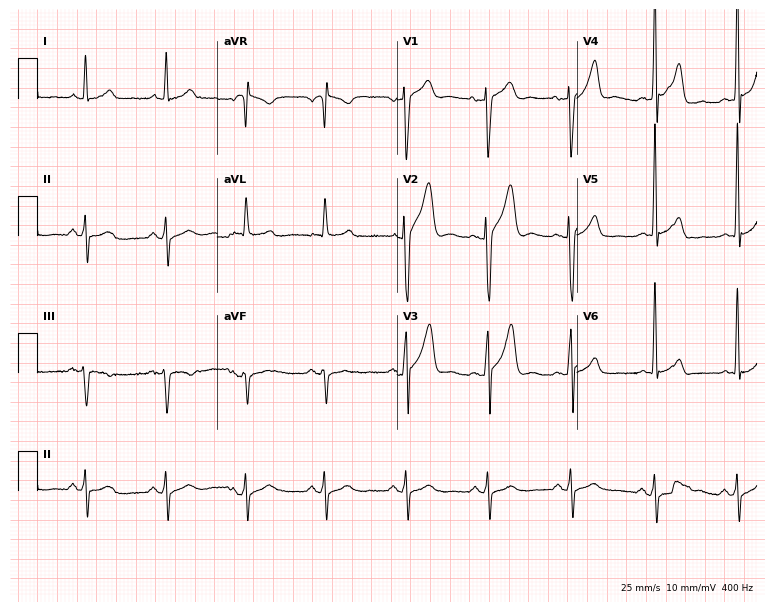
Standard 12-lead ECG recorded from a male patient, 68 years old (7.3-second recording at 400 Hz). Read as a normal ECG.